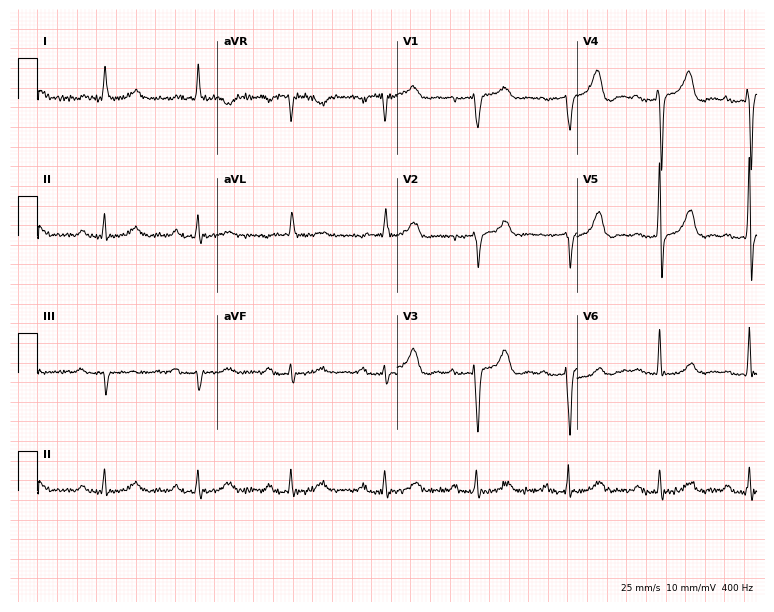
12-lead ECG from a 74-year-old male patient. Shows first-degree AV block.